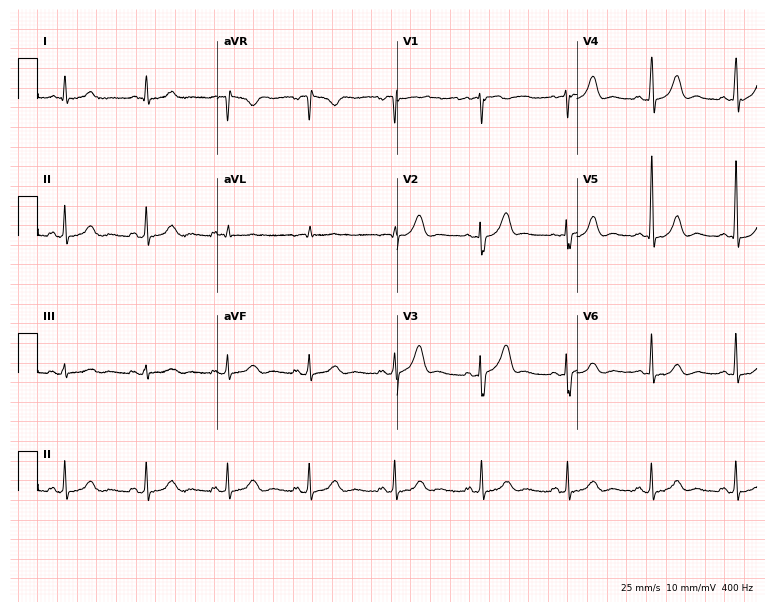
ECG — a male patient, 59 years old. Labelled as a normal ECG.